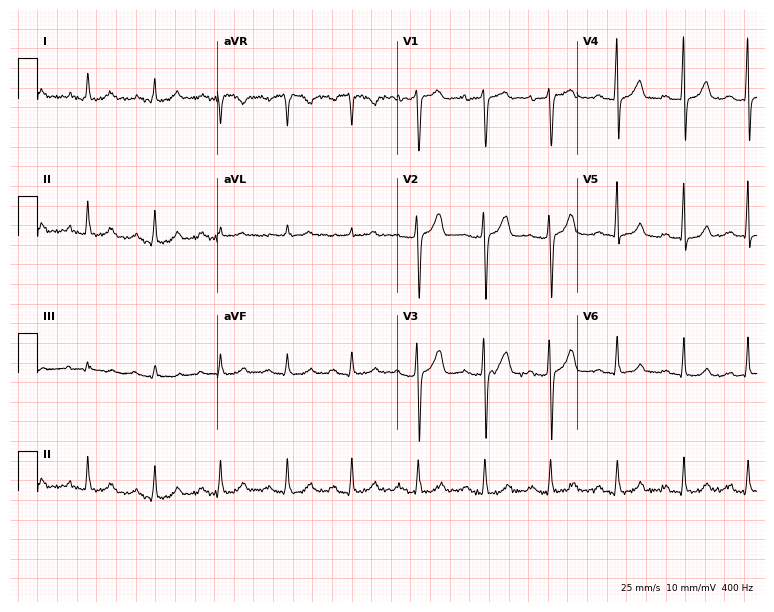
Standard 12-lead ECG recorded from a 48-year-old female (7.3-second recording at 400 Hz). Read as a normal ECG.